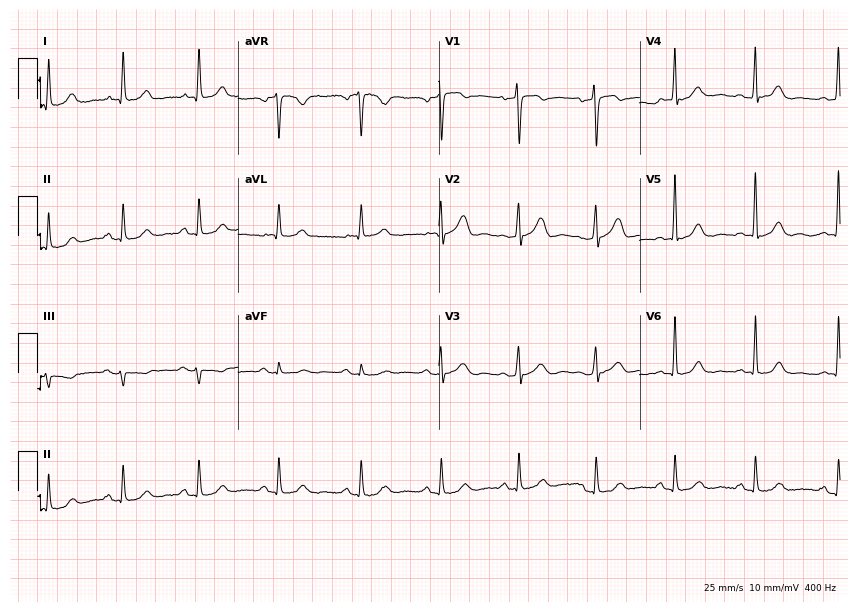
Electrocardiogram, a 71-year-old female. Of the six screened findings (first-degree AV block, right bundle branch block, left bundle branch block, sinus bradycardia, atrial fibrillation, sinus tachycardia), none is recorded. Only these six findings were labelled.